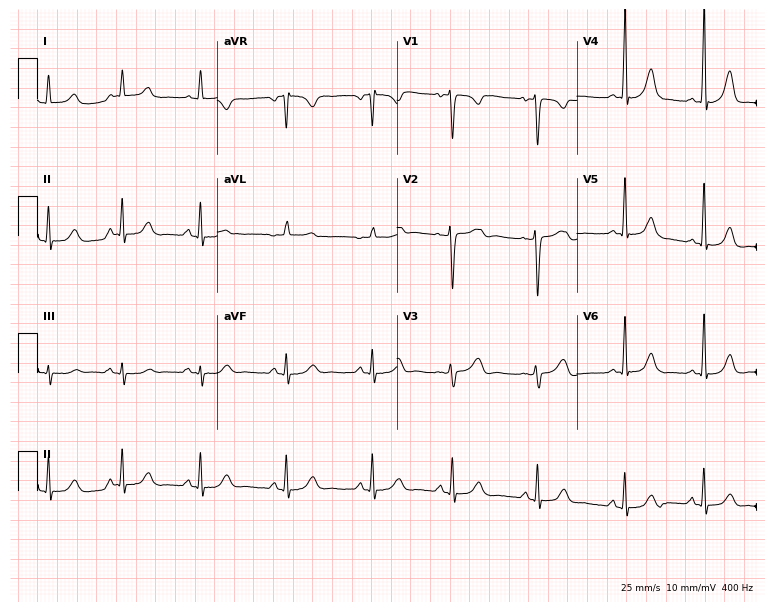
12-lead ECG (7.3-second recording at 400 Hz) from a 35-year-old female. Screened for six findings — first-degree AV block, right bundle branch block, left bundle branch block, sinus bradycardia, atrial fibrillation, sinus tachycardia — none is recorded. Findings outside these six are not listed.